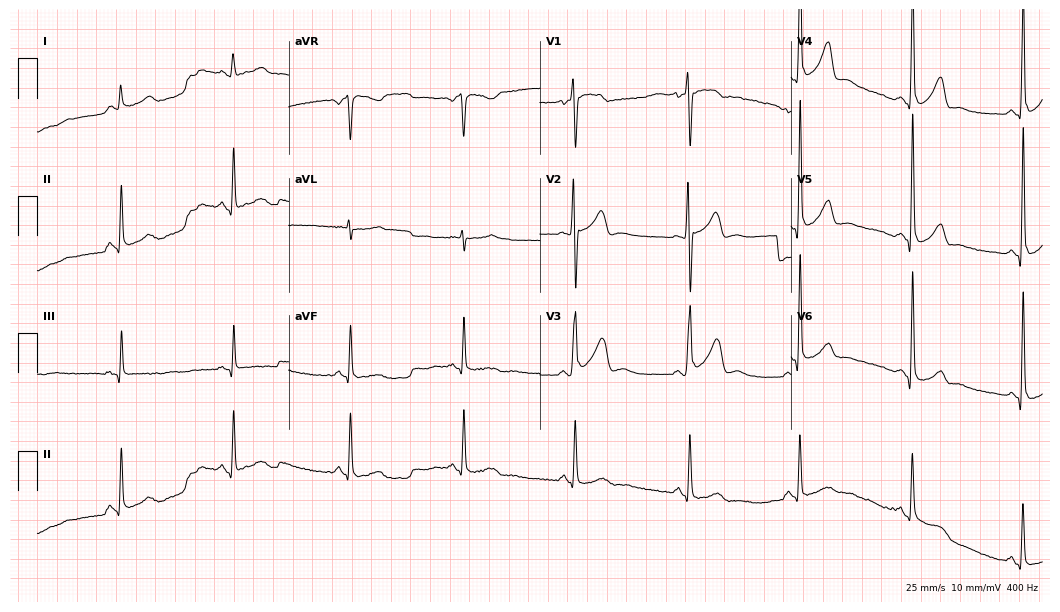
ECG — a 22-year-old male. Screened for six findings — first-degree AV block, right bundle branch block (RBBB), left bundle branch block (LBBB), sinus bradycardia, atrial fibrillation (AF), sinus tachycardia — none is recorded. Only these six findings were labelled.